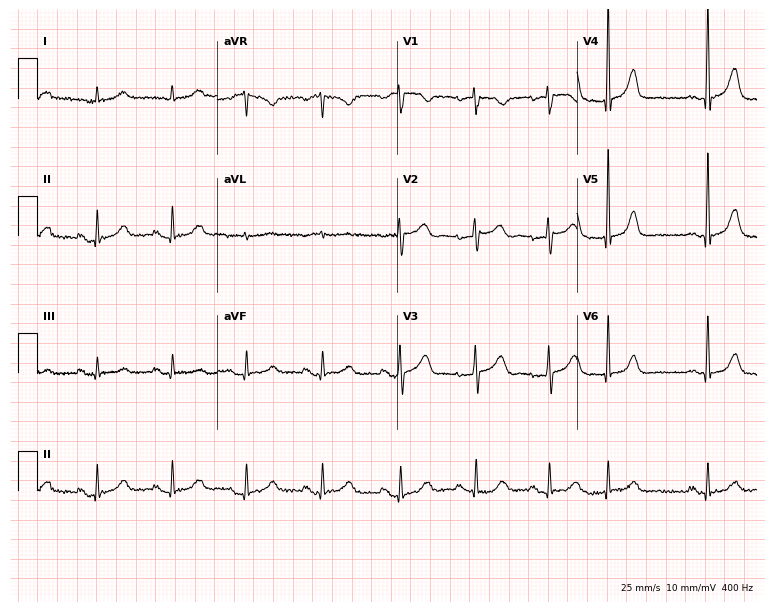
12-lead ECG from a female, 68 years old (7.3-second recording at 400 Hz). No first-degree AV block, right bundle branch block, left bundle branch block, sinus bradycardia, atrial fibrillation or sinus tachycardia recorded for this tracing. Only these six findings were labelled.